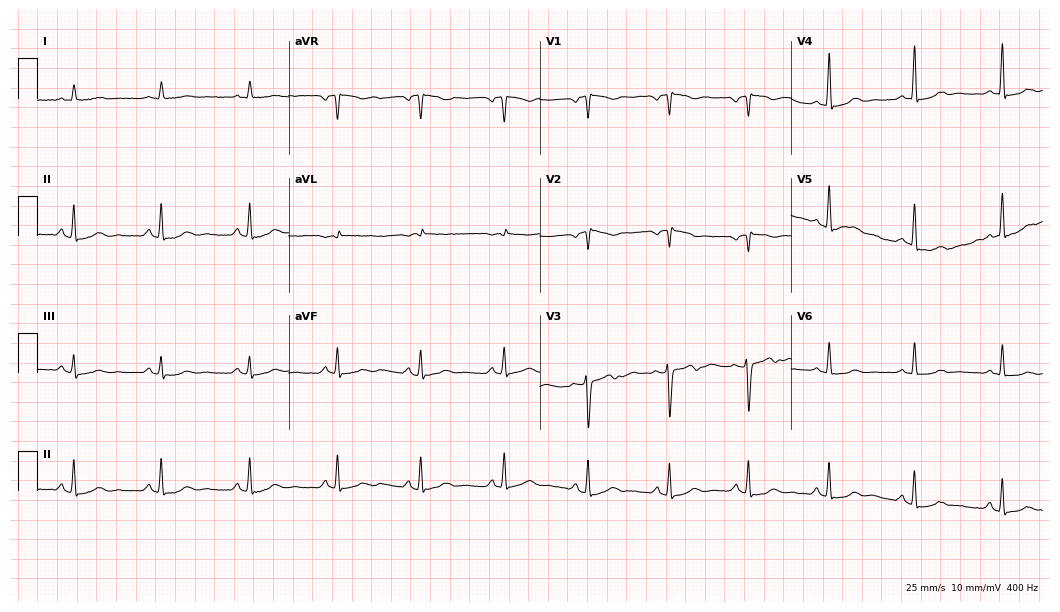
12-lead ECG from a female patient, 48 years old. No first-degree AV block, right bundle branch block, left bundle branch block, sinus bradycardia, atrial fibrillation or sinus tachycardia recorded for this tracing. Only these six findings were labelled.